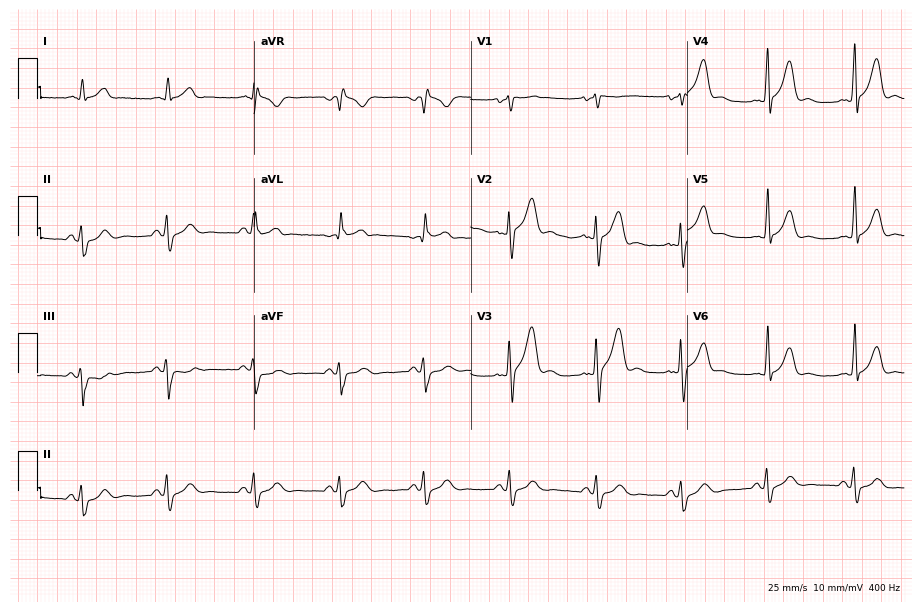
ECG — a 38-year-old male. Screened for six findings — first-degree AV block, right bundle branch block, left bundle branch block, sinus bradycardia, atrial fibrillation, sinus tachycardia — none is recorded. Findings outside these six are not listed.